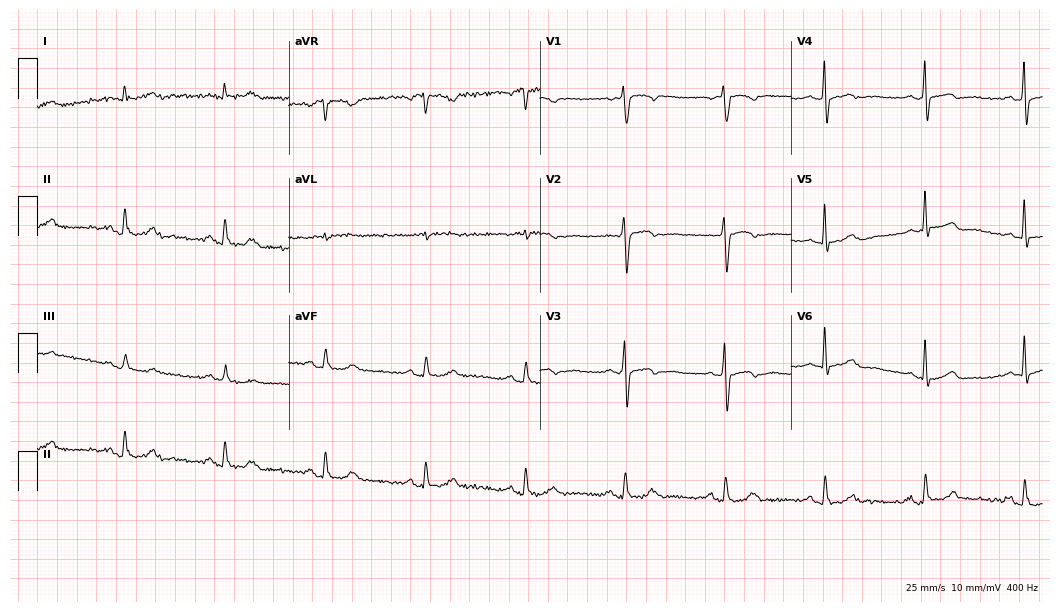
ECG — a 79-year-old man. Screened for six findings — first-degree AV block, right bundle branch block, left bundle branch block, sinus bradycardia, atrial fibrillation, sinus tachycardia — none is recorded.